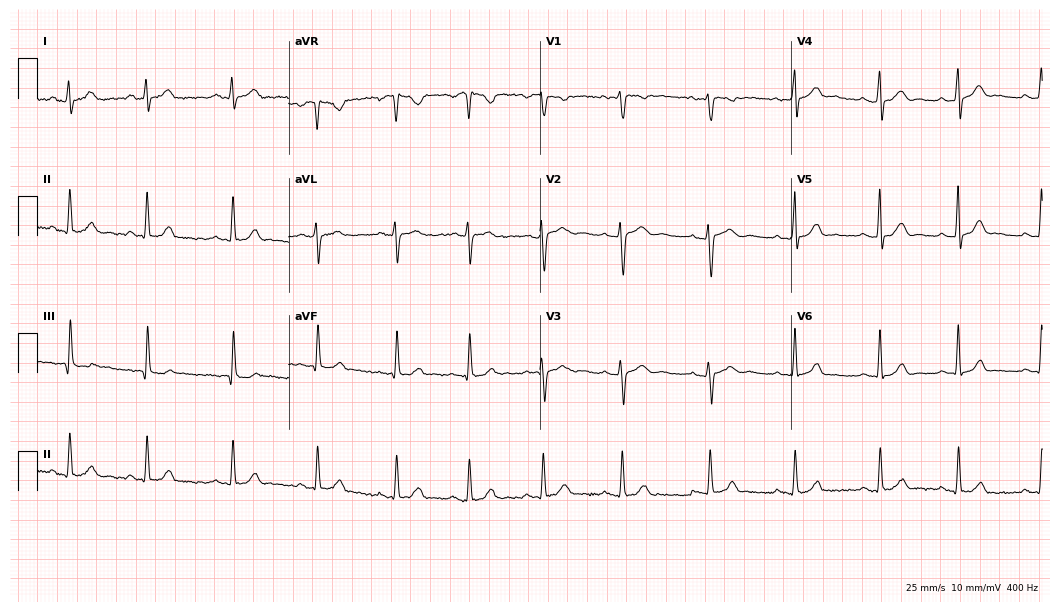
ECG (10.2-second recording at 400 Hz) — a female patient, 25 years old. Labelled as a normal ECG.